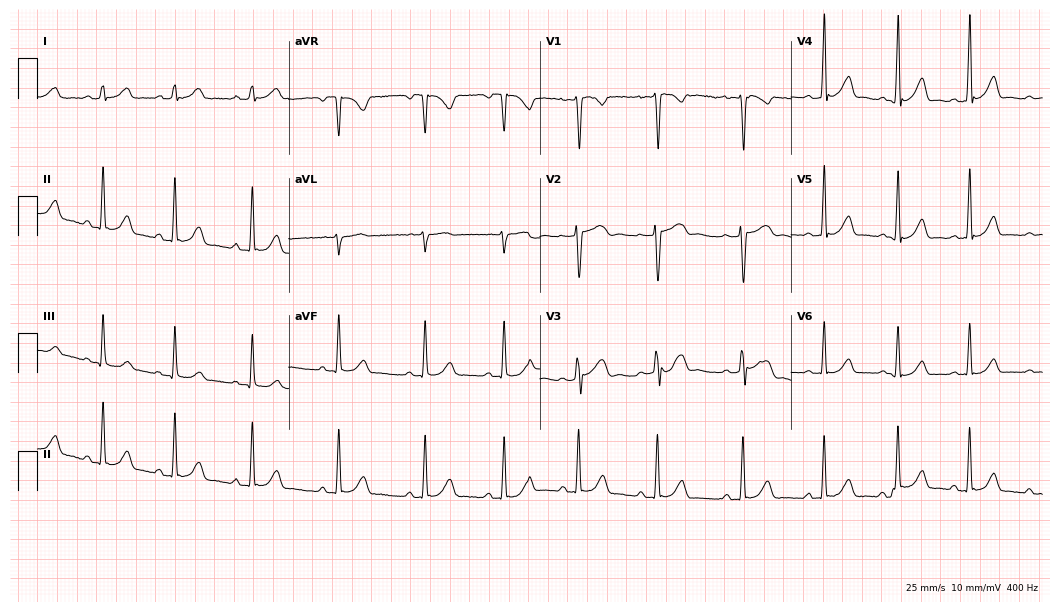
12-lead ECG (10.2-second recording at 400 Hz) from a female, 18 years old. Labelled as a normal ECG.